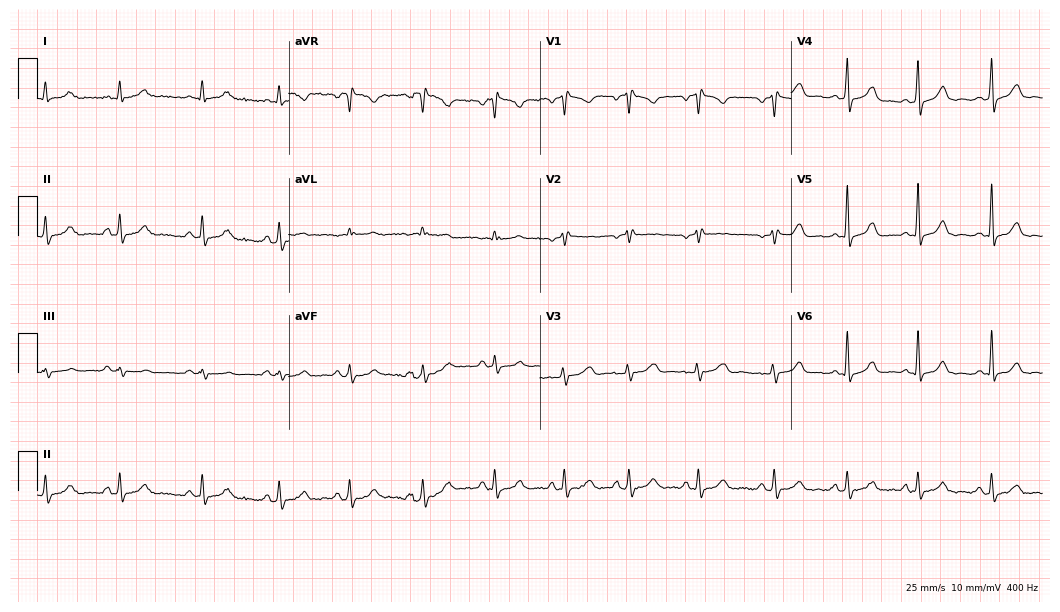
ECG (10.2-second recording at 400 Hz) — a 27-year-old female. Screened for six findings — first-degree AV block, right bundle branch block, left bundle branch block, sinus bradycardia, atrial fibrillation, sinus tachycardia — none is recorded. Only these six findings were labelled.